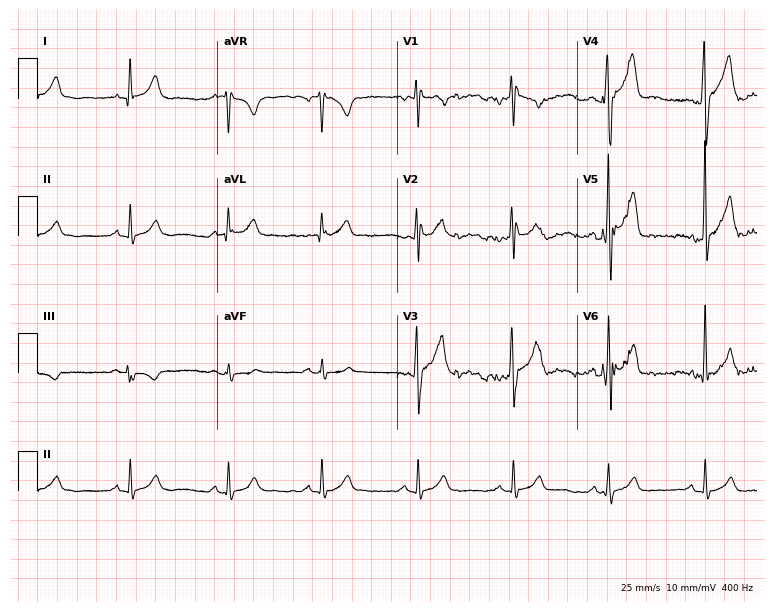
Resting 12-lead electrocardiogram (7.3-second recording at 400 Hz). Patient: a male, 40 years old. Read as a normal ECG.